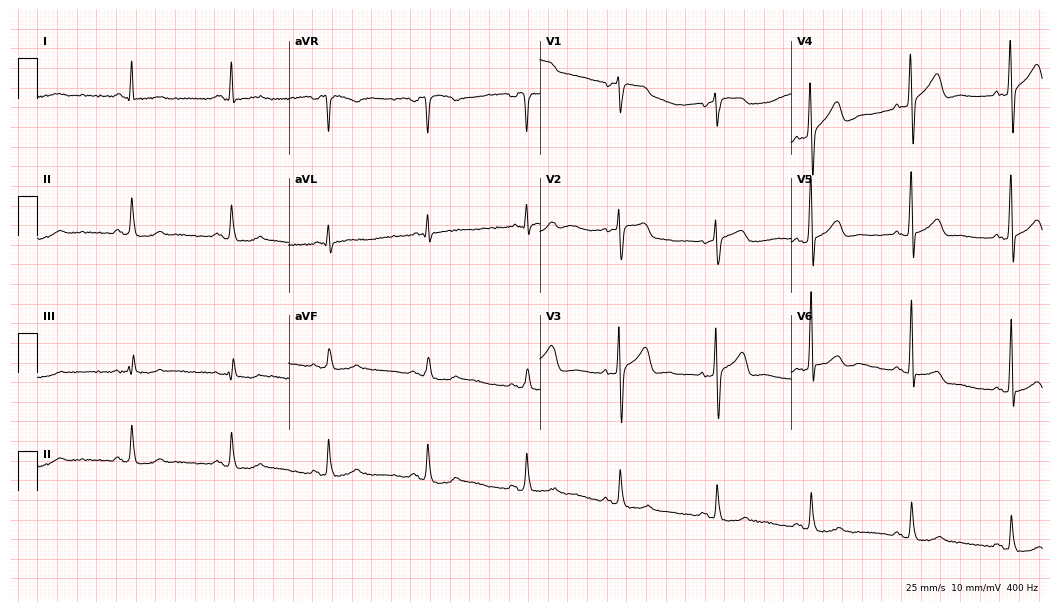
ECG (10.2-second recording at 400 Hz) — a male, 59 years old. Labelled as a normal ECG.